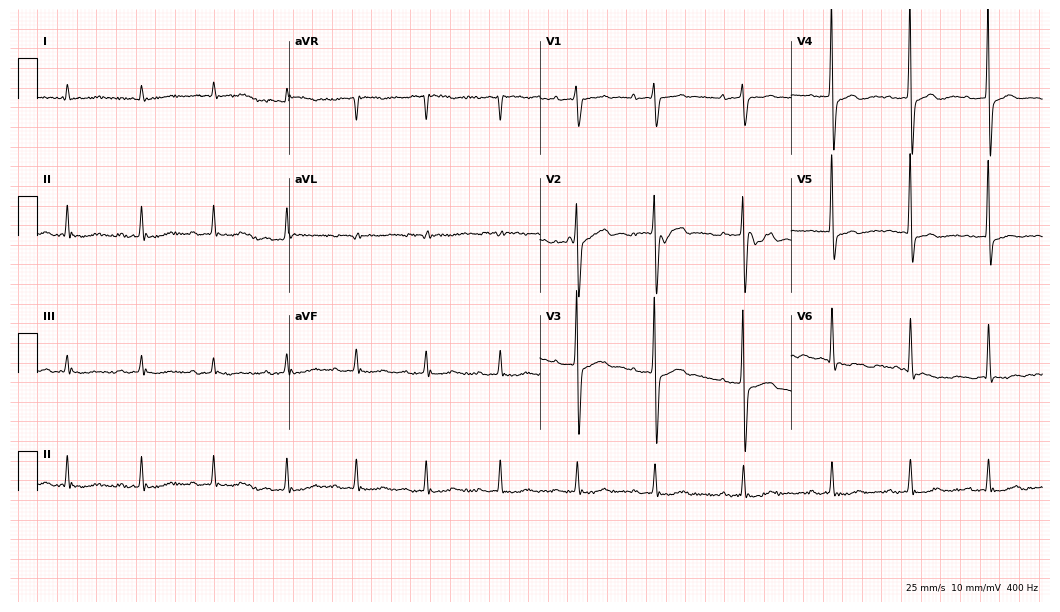
Resting 12-lead electrocardiogram (10.2-second recording at 400 Hz). Patient: a female, 77 years old. None of these six findings is recorded: first-degree AV block, right bundle branch block (RBBB), left bundle branch block (LBBB), sinus bradycardia, atrial fibrillation (AF), sinus tachycardia. Only these six findings were labelled.